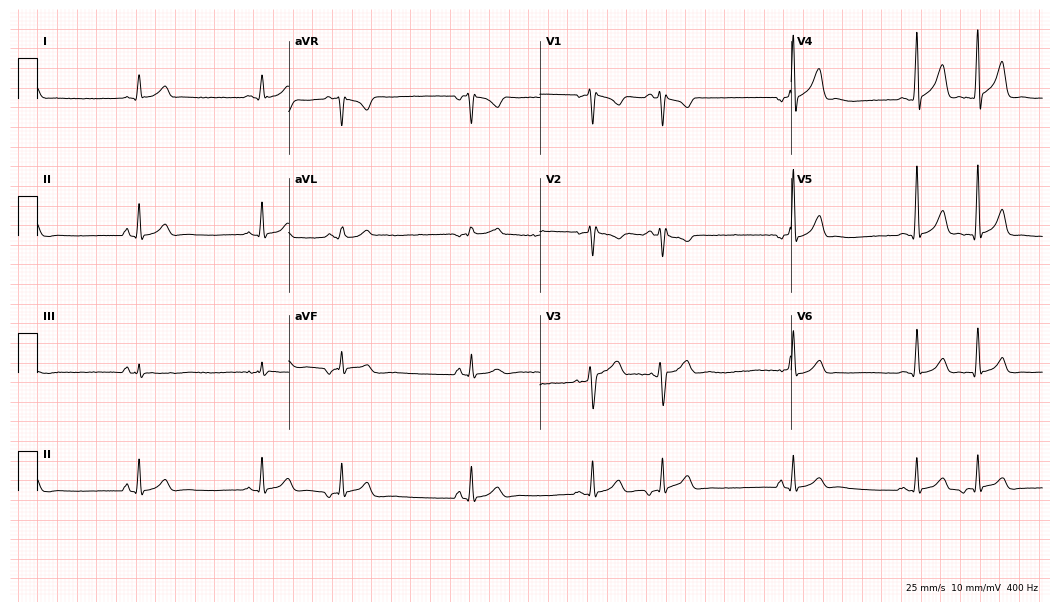
12-lead ECG from a 28-year-old male. No first-degree AV block, right bundle branch block (RBBB), left bundle branch block (LBBB), sinus bradycardia, atrial fibrillation (AF) or sinus tachycardia recorded for this tracing.